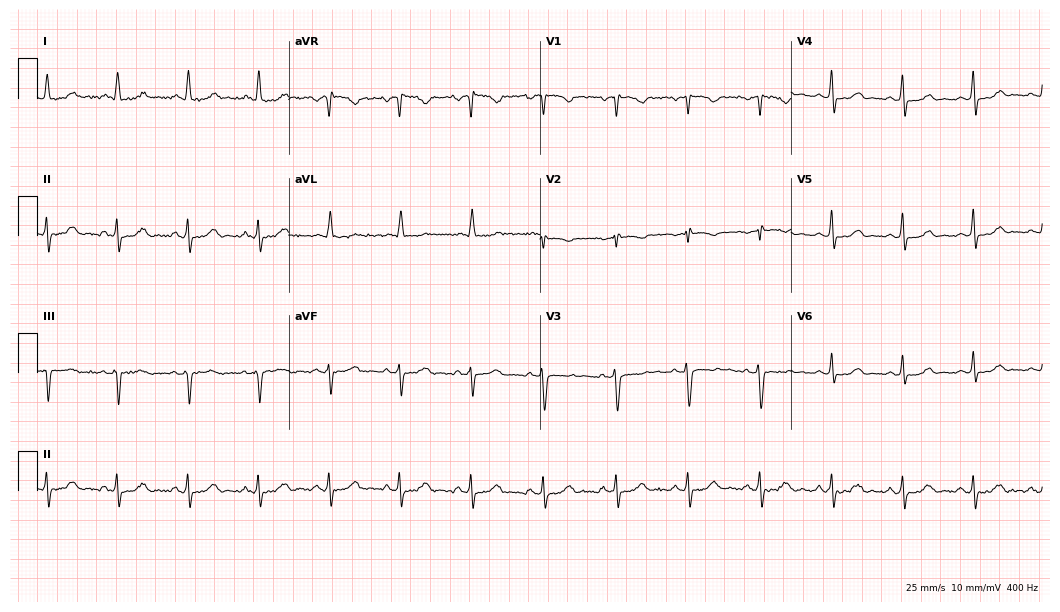
ECG (10.2-second recording at 400 Hz) — a woman, 32 years old. Screened for six findings — first-degree AV block, right bundle branch block (RBBB), left bundle branch block (LBBB), sinus bradycardia, atrial fibrillation (AF), sinus tachycardia — none is recorded. Only these six findings were labelled.